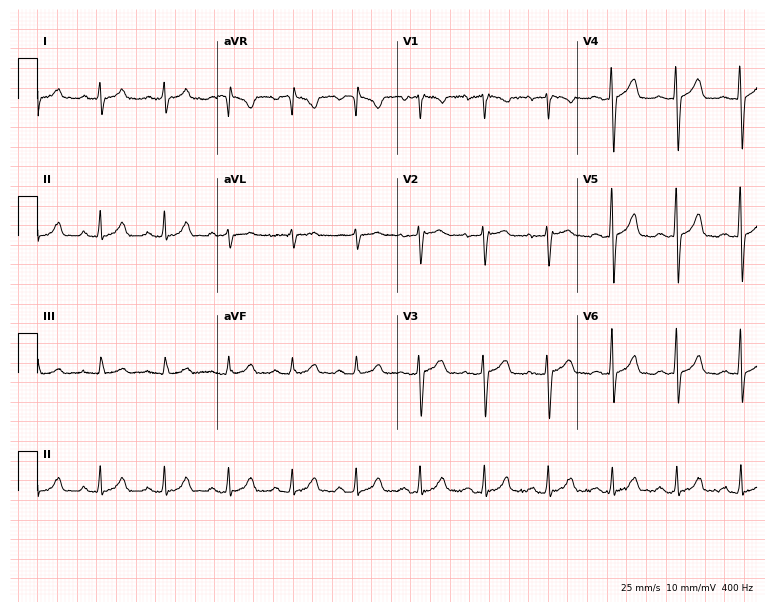
ECG — a 51-year-old woman. Screened for six findings — first-degree AV block, right bundle branch block, left bundle branch block, sinus bradycardia, atrial fibrillation, sinus tachycardia — none is recorded. Other findings, if any, are not listed.